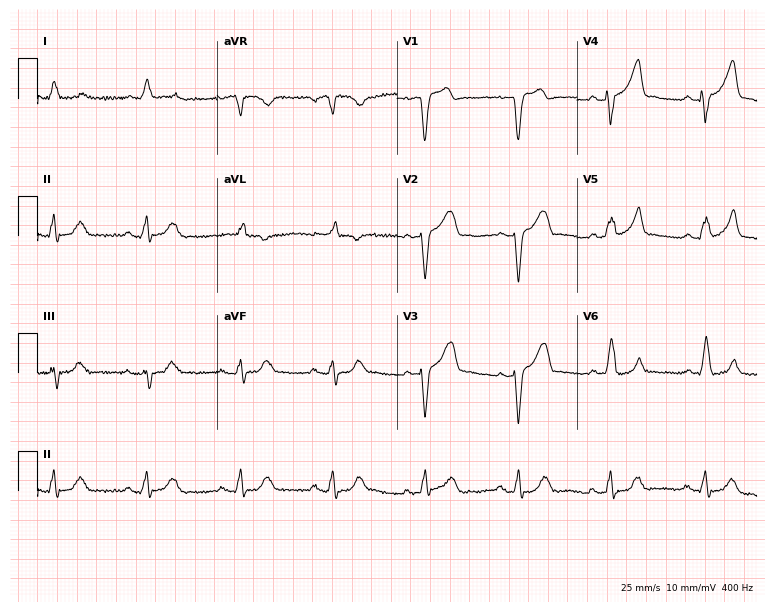
Standard 12-lead ECG recorded from a man, 82 years old (7.3-second recording at 400 Hz). The tracing shows left bundle branch block, sinus tachycardia (a sinus rate of 100 beats per minute or more).